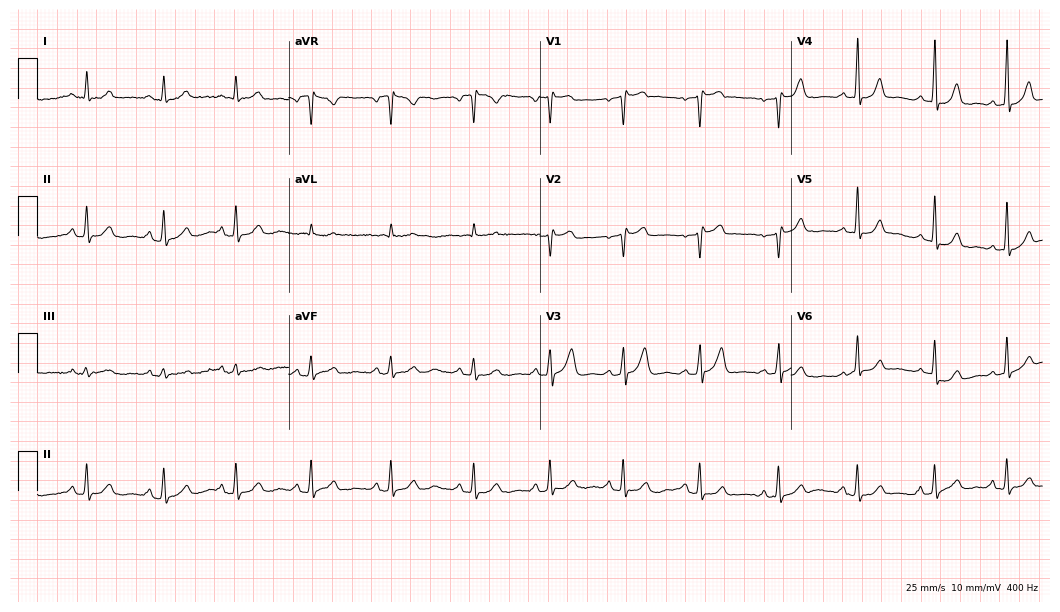
Standard 12-lead ECG recorded from a 42-year-old female patient (10.2-second recording at 400 Hz). Read as a normal ECG.